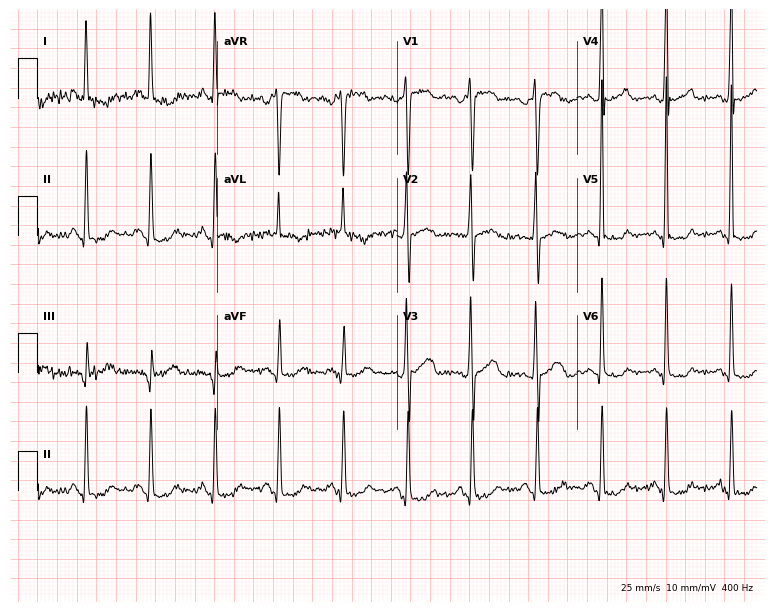
ECG (7.3-second recording at 400 Hz) — a male patient, 35 years old. Screened for six findings — first-degree AV block, right bundle branch block, left bundle branch block, sinus bradycardia, atrial fibrillation, sinus tachycardia — none is recorded. Only these six findings were labelled.